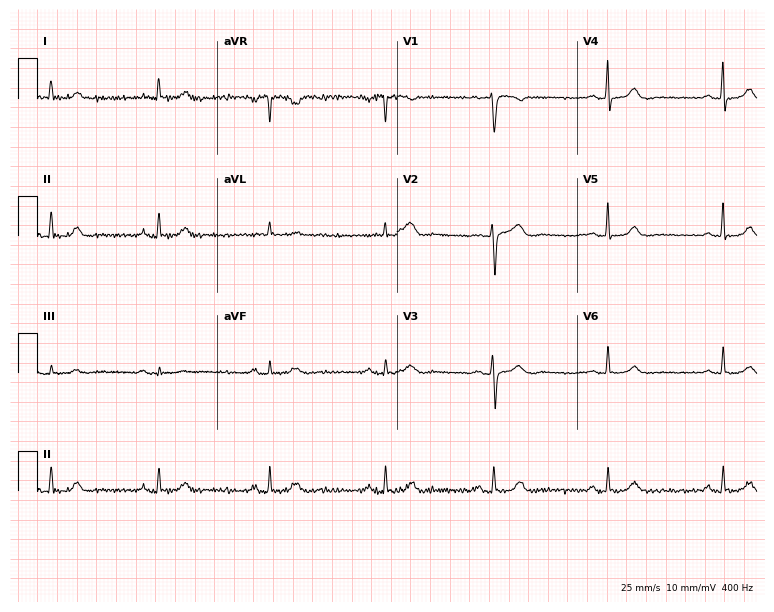
ECG — a female patient, 56 years old. Labelled as a normal ECG.